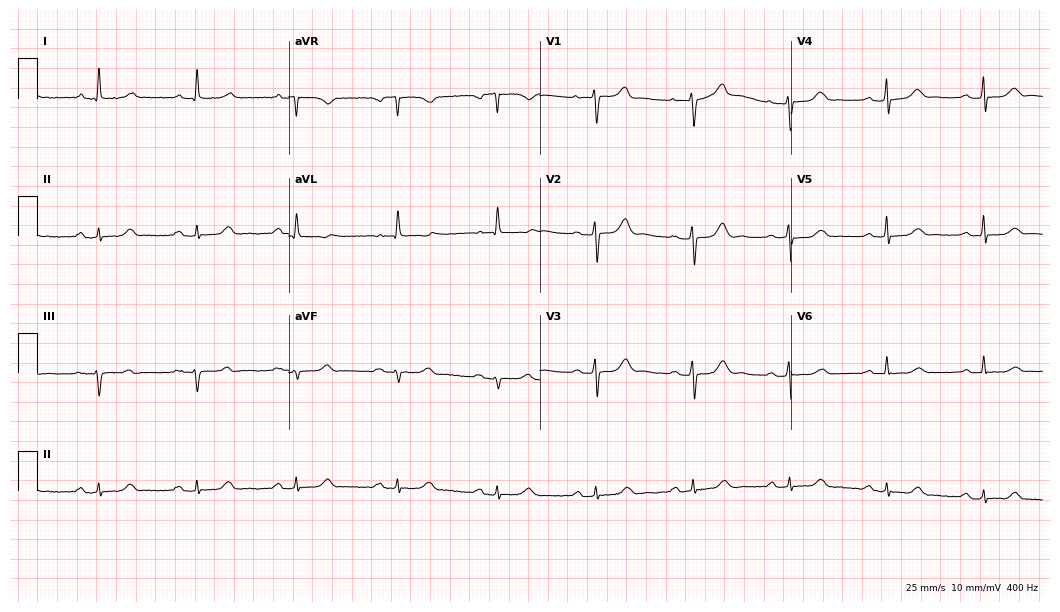
12-lead ECG (10.2-second recording at 400 Hz) from a female patient, 53 years old. Labelled as a normal ECG.